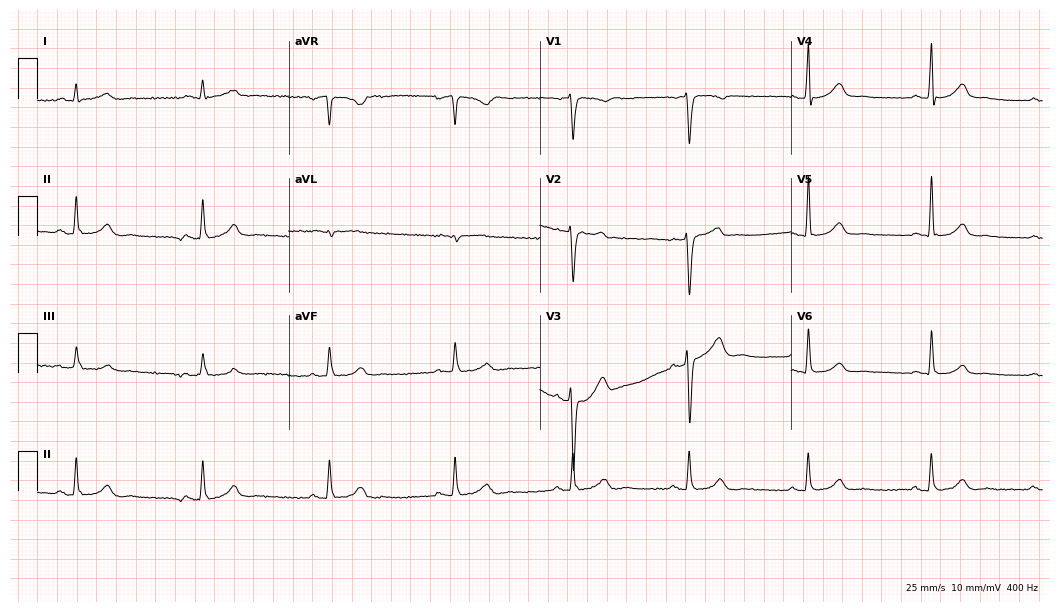
ECG — a 49-year-old male. Findings include sinus bradycardia (a sinus rate of 50 beats per minute or less).